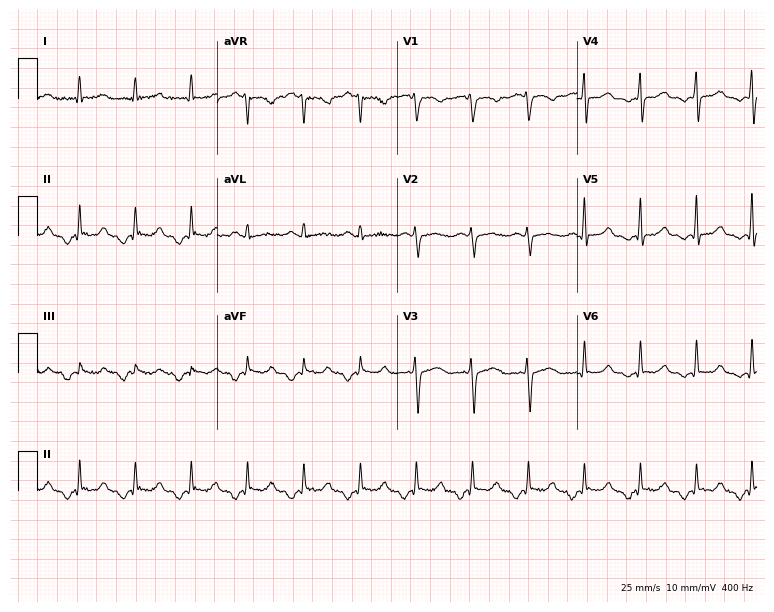
12-lead ECG (7.3-second recording at 400 Hz) from a female patient, 41 years old. Findings include sinus tachycardia (a sinus rate of 100 beats per minute or more).